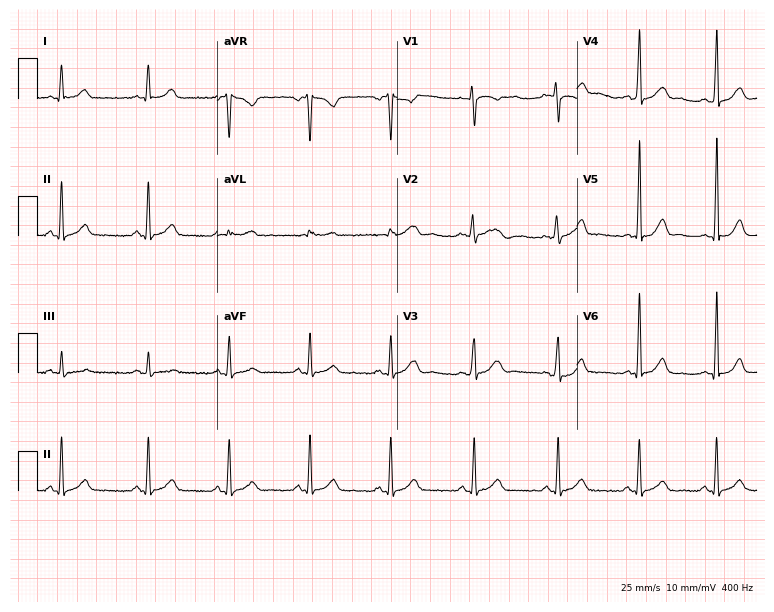
Resting 12-lead electrocardiogram (7.3-second recording at 400 Hz). Patient: a female, 36 years old. None of these six findings is recorded: first-degree AV block, right bundle branch block, left bundle branch block, sinus bradycardia, atrial fibrillation, sinus tachycardia. Other findings, if any, are not listed.